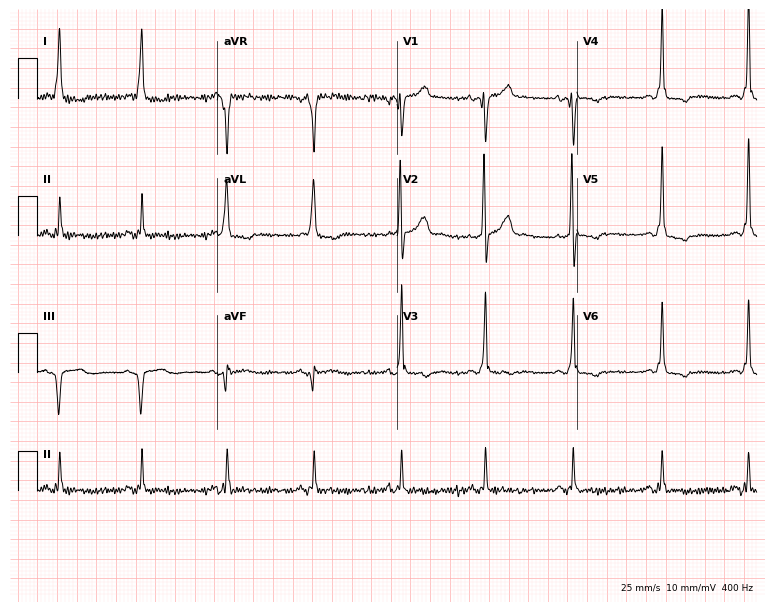
Electrocardiogram, a 24-year-old male patient. Of the six screened findings (first-degree AV block, right bundle branch block, left bundle branch block, sinus bradycardia, atrial fibrillation, sinus tachycardia), none is recorded. Only these six findings were labelled.